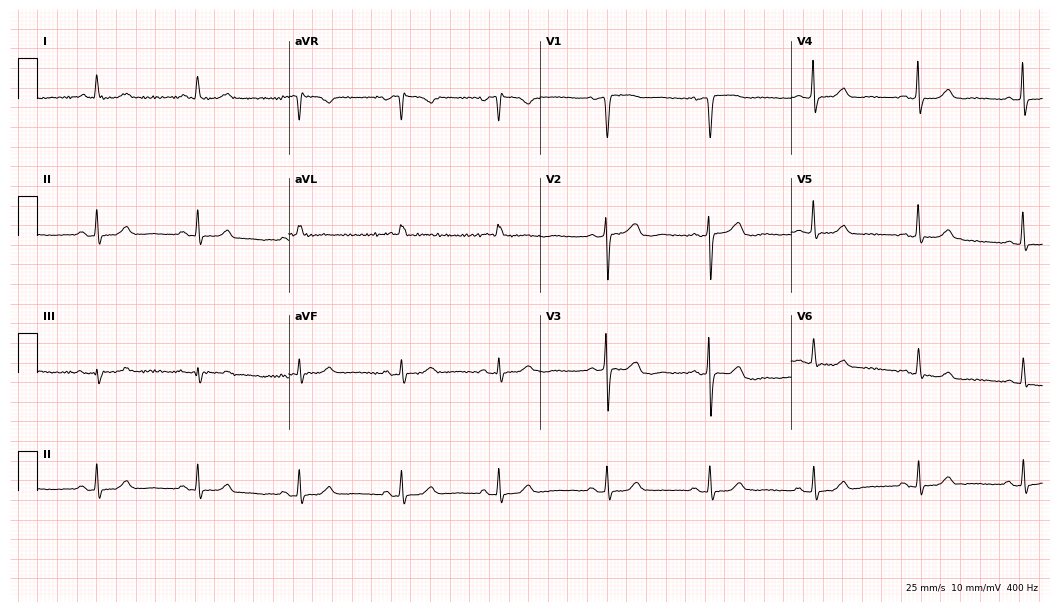
12-lead ECG (10.2-second recording at 400 Hz) from a 64-year-old female. Labelled as a normal ECG.